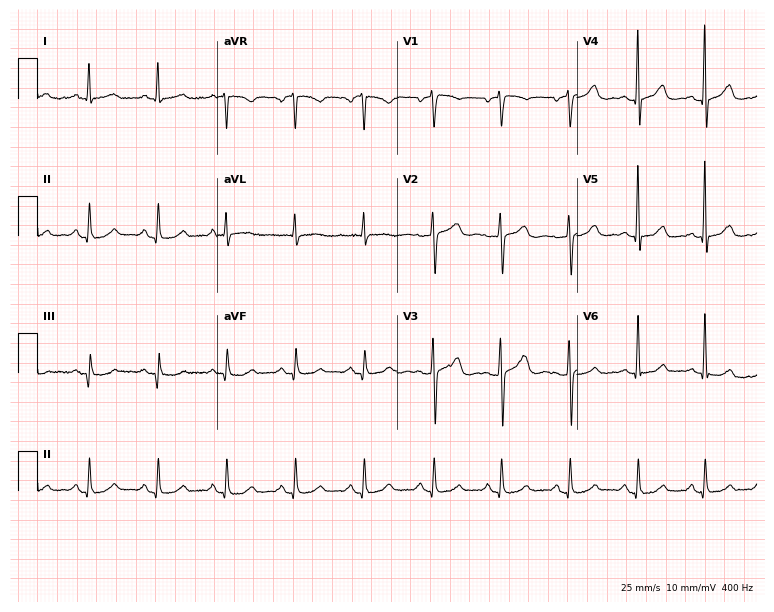
12-lead ECG (7.3-second recording at 400 Hz) from a female patient, 47 years old. Screened for six findings — first-degree AV block, right bundle branch block, left bundle branch block, sinus bradycardia, atrial fibrillation, sinus tachycardia — none is recorded.